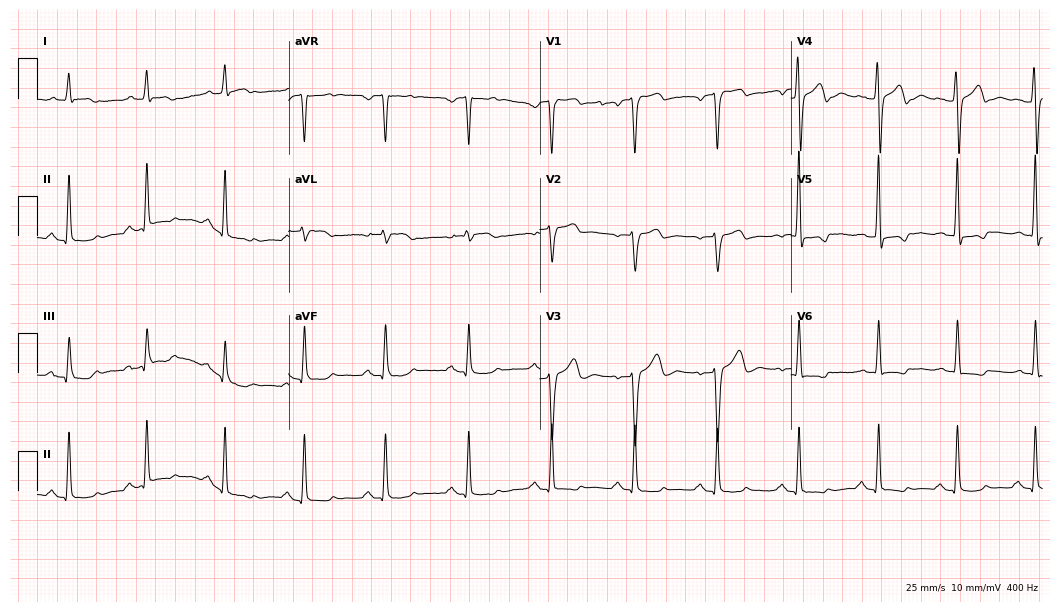
Standard 12-lead ECG recorded from a 54-year-old male (10.2-second recording at 400 Hz). None of these six findings is recorded: first-degree AV block, right bundle branch block, left bundle branch block, sinus bradycardia, atrial fibrillation, sinus tachycardia. Only these six findings were labelled.